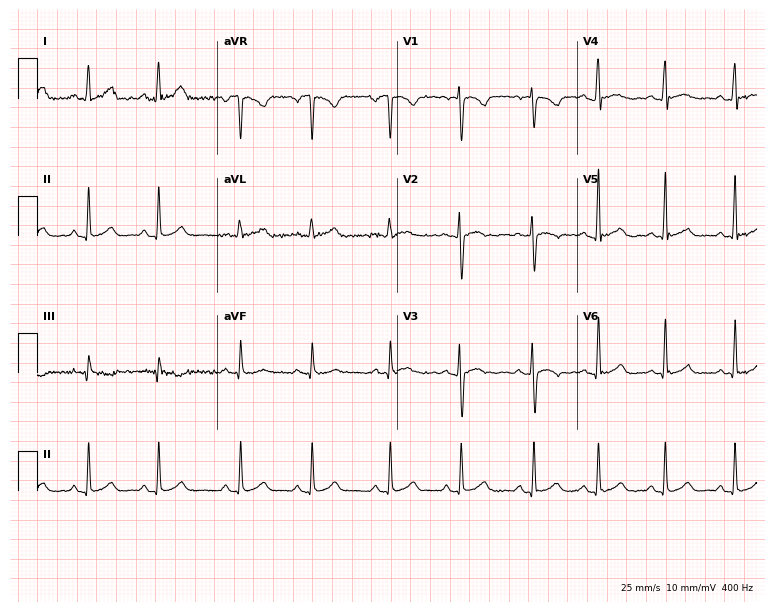
12-lead ECG from a woman, 24 years old. Screened for six findings — first-degree AV block, right bundle branch block, left bundle branch block, sinus bradycardia, atrial fibrillation, sinus tachycardia — none is recorded. Other findings, if any, are not listed.